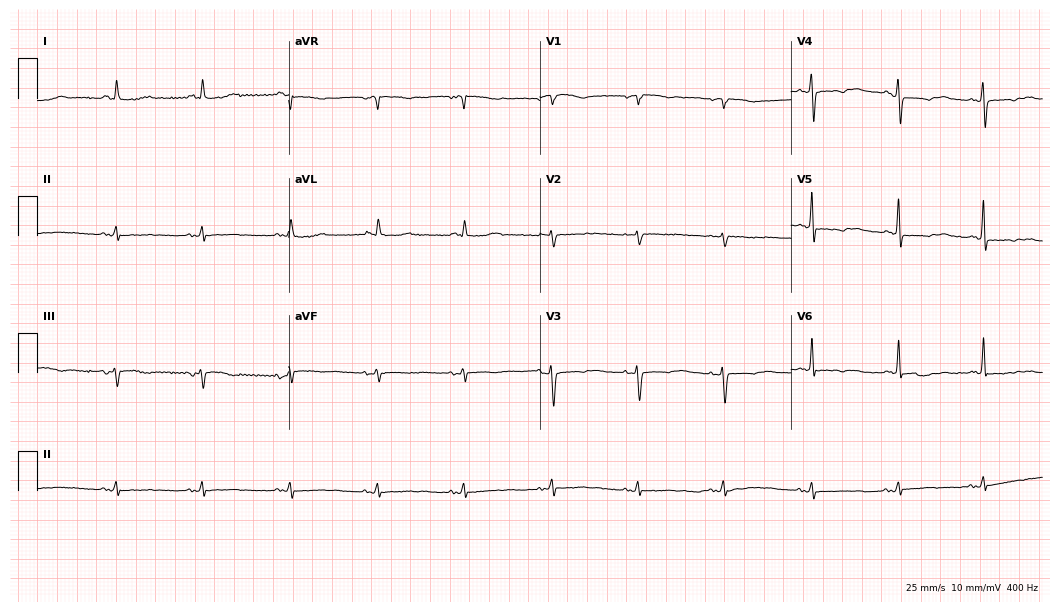
Resting 12-lead electrocardiogram (10.2-second recording at 400 Hz). Patient: an 80-year-old female. None of these six findings is recorded: first-degree AV block, right bundle branch block, left bundle branch block, sinus bradycardia, atrial fibrillation, sinus tachycardia. Other findings, if any, are not listed.